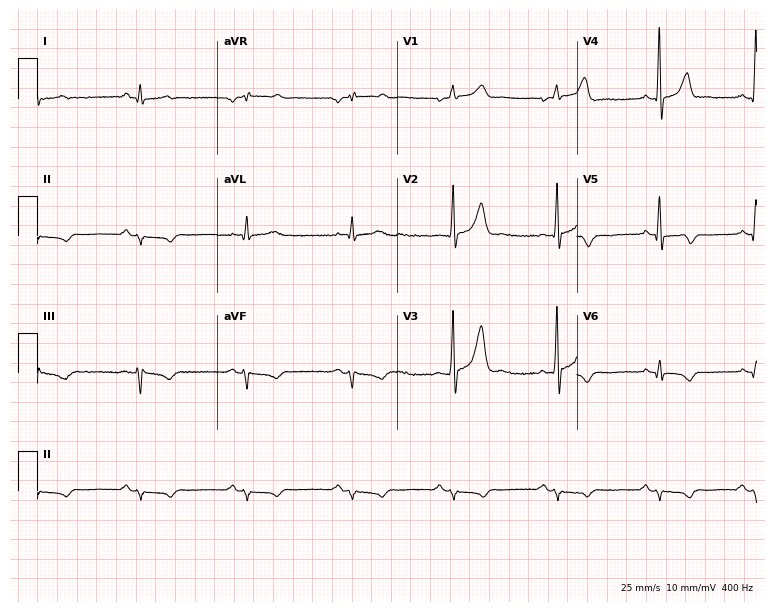
Standard 12-lead ECG recorded from a 66-year-old male patient. None of these six findings is recorded: first-degree AV block, right bundle branch block (RBBB), left bundle branch block (LBBB), sinus bradycardia, atrial fibrillation (AF), sinus tachycardia. Other findings, if any, are not listed.